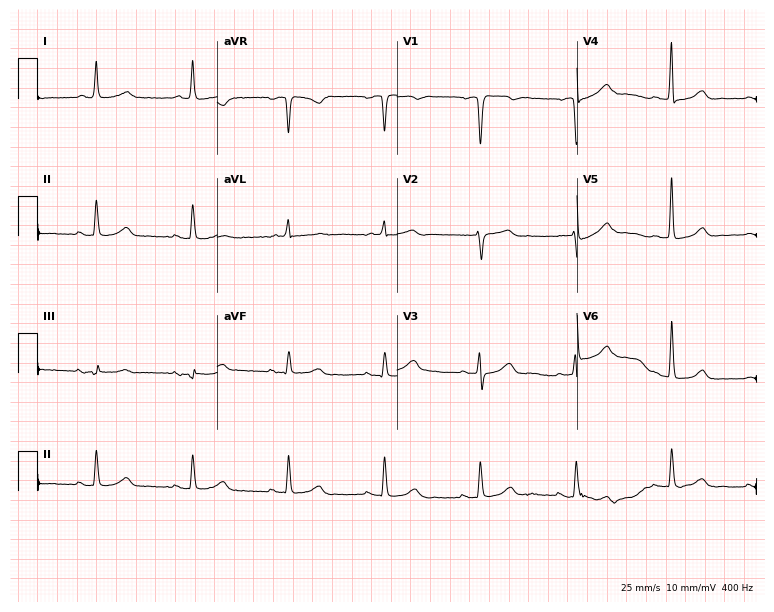
Resting 12-lead electrocardiogram (7.3-second recording at 400 Hz). Patient: a 75-year-old male. None of these six findings is recorded: first-degree AV block, right bundle branch block, left bundle branch block, sinus bradycardia, atrial fibrillation, sinus tachycardia.